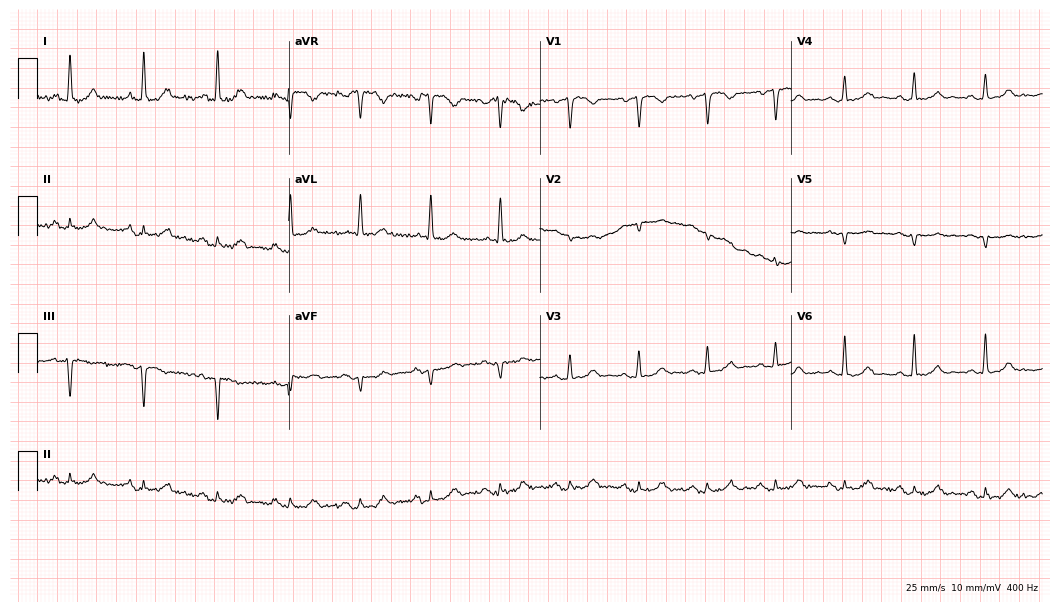
ECG (10.2-second recording at 400 Hz) — a man, 70 years old. Screened for six findings — first-degree AV block, right bundle branch block (RBBB), left bundle branch block (LBBB), sinus bradycardia, atrial fibrillation (AF), sinus tachycardia — none is recorded.